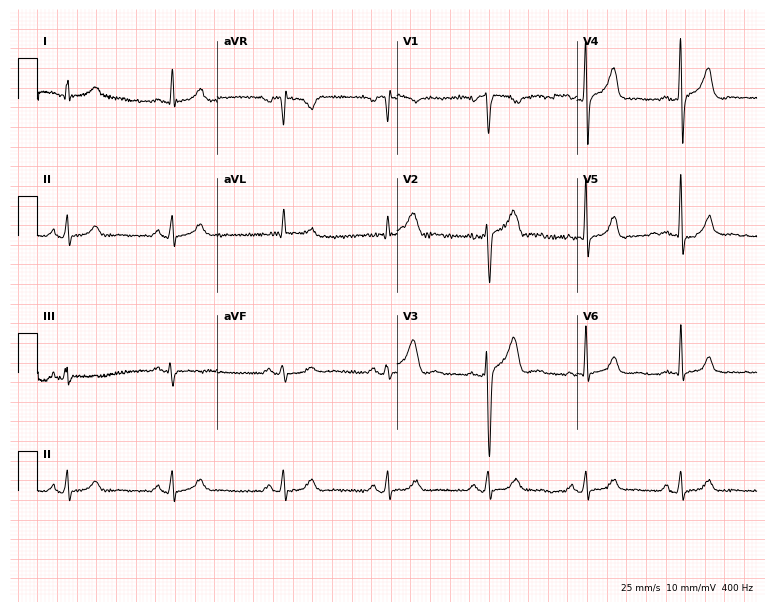
Electrocardiogram (7.3-second recording at 400 Hz), a 46-year-old female patient. Overall reading on record: normal ECG.